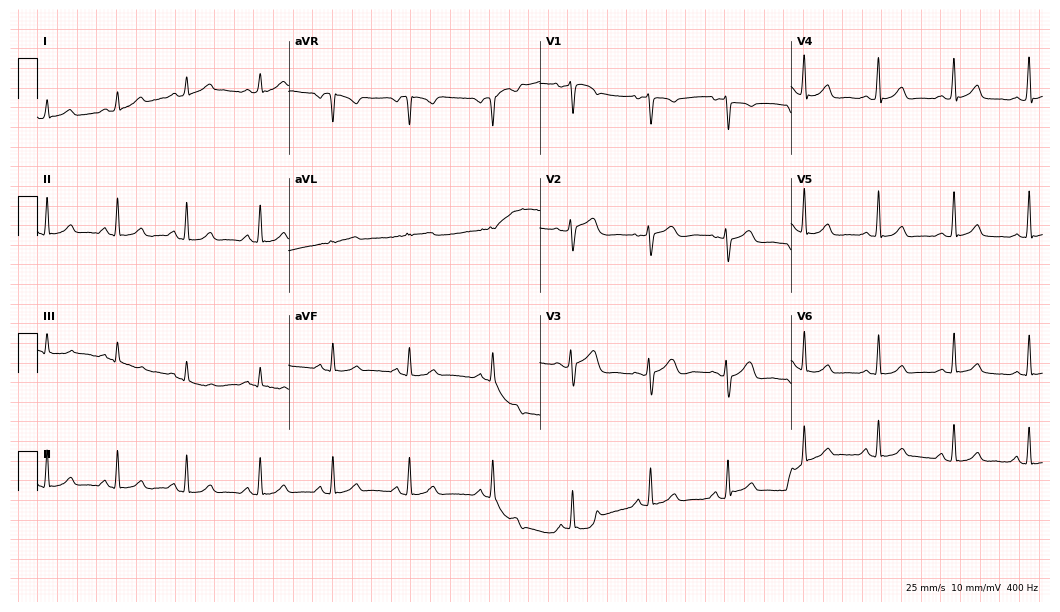
Standard 12-lead ECG recorded from a female patient, 35 years old (10.2-second recording at 400 Hz). None of these six findings is recorded: first-degree AV block, right bundle branch block (RBBB), left bundle branch block (LBBB), sinus bradycardia, atrial fibrillation (AF), sinus tachycardia. Findings outside these six are not listed.